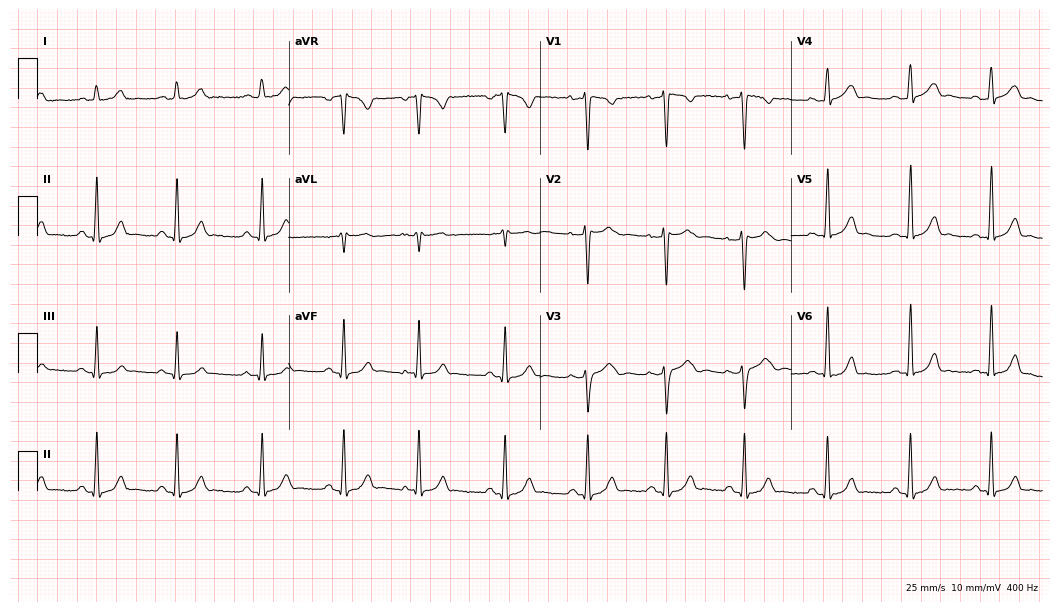
ECG (10.2-second recording at 400 Hz) — a female patient, 28 years old. Labelled as a normal ECG.